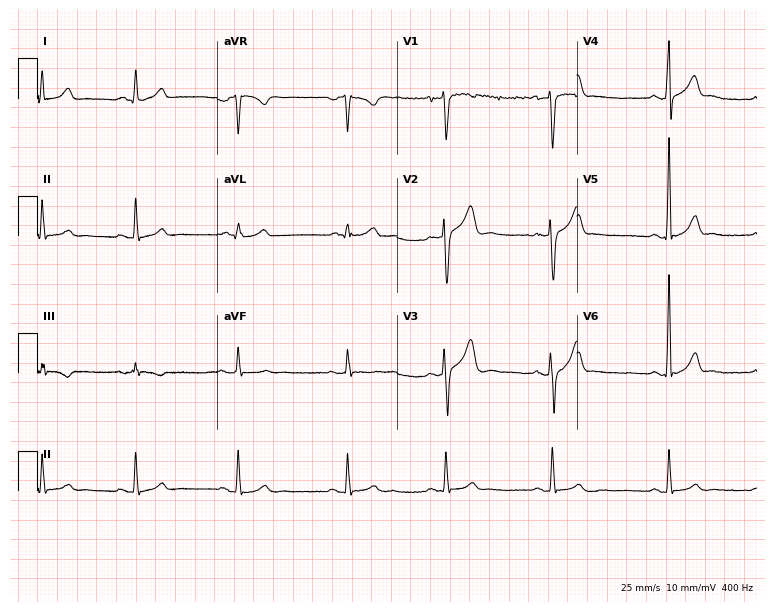
12-lead ECG from a 29-year-old man. Recorded interpretation: within normal limits.